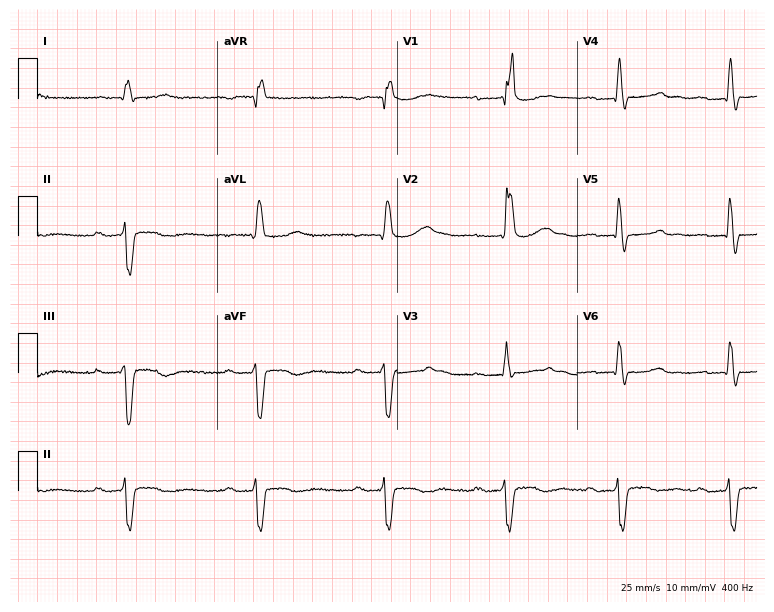
Standard 12-lead ECG recorded from an 83-year-old male (7.3-second recording at 400 Hz). The tracing shows first-degree AV block, right bundle branch block, sinus bradycardia (a sinus rate of 50 beats per minute or less).